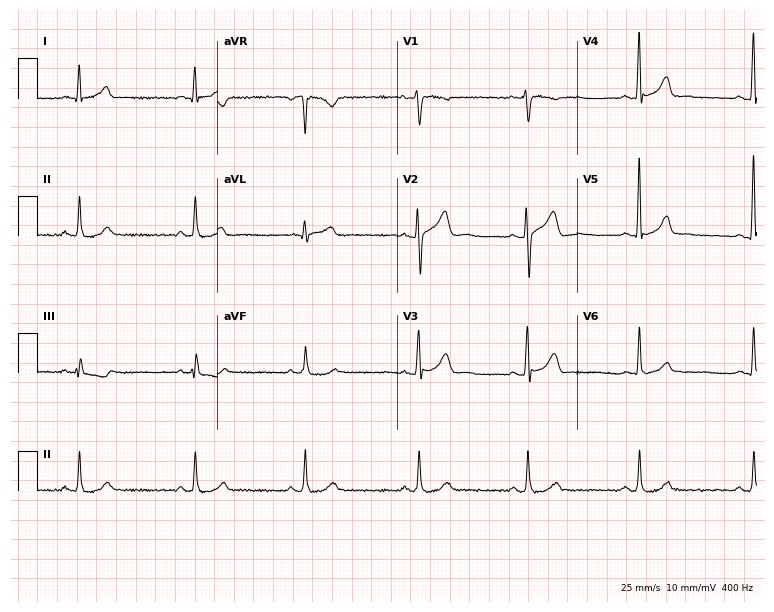
12-lead ECG from a 53-year-old woman (7.3-second recording at 400 Hz). Recorded interpretation: within normal limits.